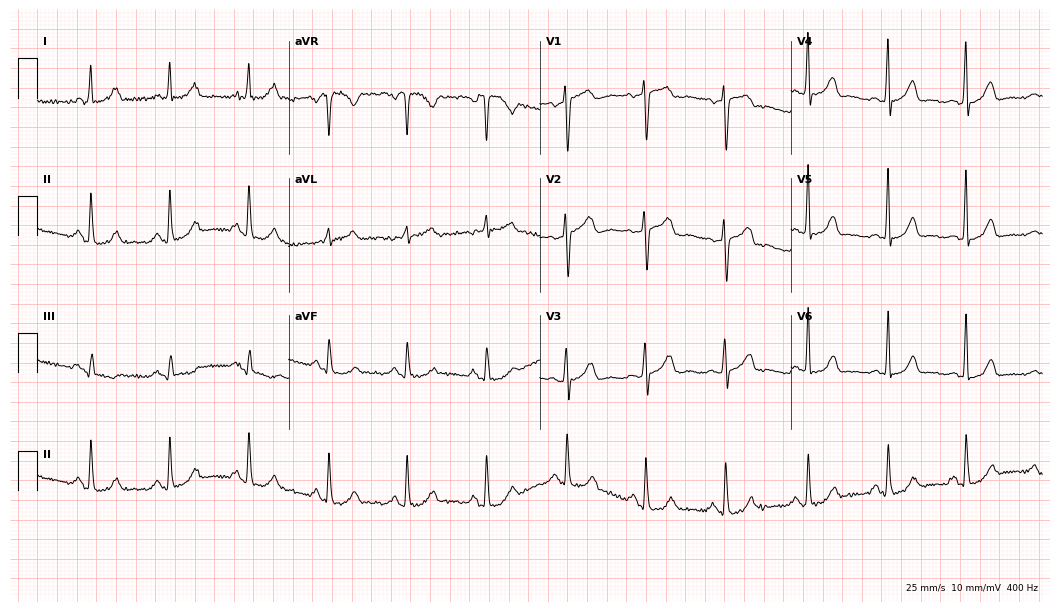
Standard 12-lead ECG recorded from a 44-year-old woman (10.2-second recording at 400 Hz). Read as a normal ECG.